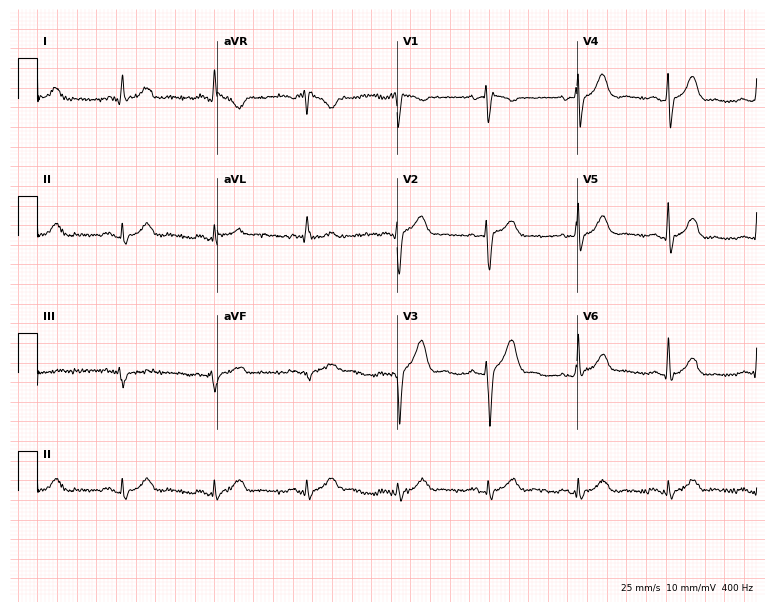
Resting 12-lead electrocardiogram (7.3-second recording at 400 Hz). Patient: a man, 54 years old. None of these six findings is recorded: first-degree AV block, right bundle branch block, left bundle branch block, sinus bradycardia, atrial fibrillation, sinus tachycardia.